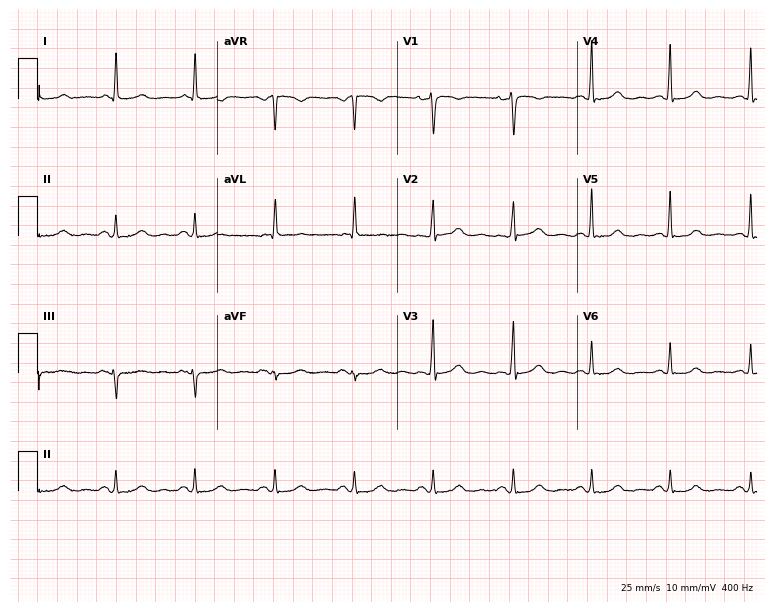
Standard 12-lead ECG recorded from a 73-year-old female (7.3-second recording at 400 Hz). Read as a normal ECG.